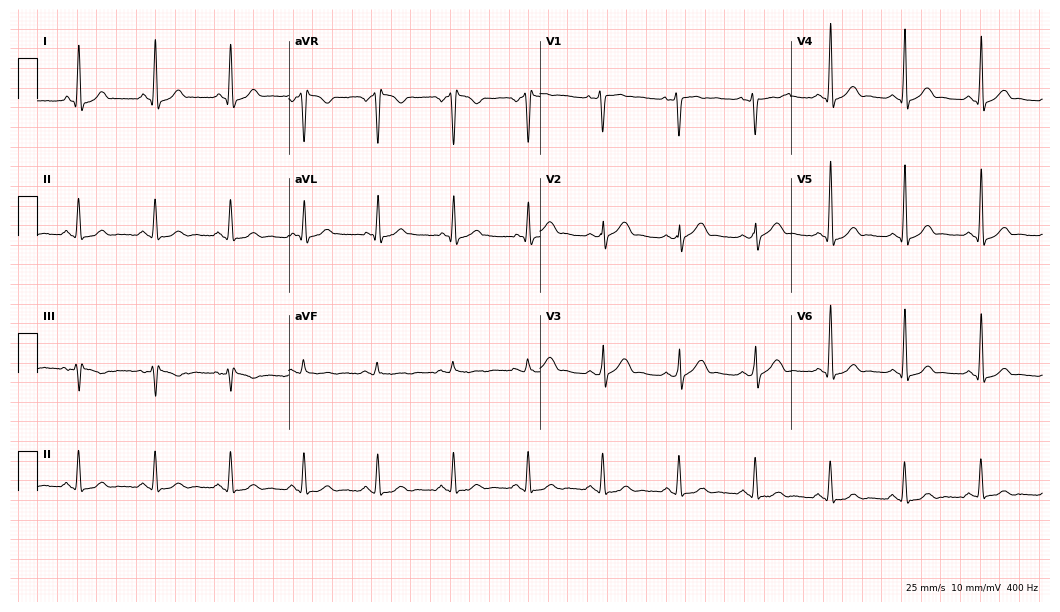
Resting 12-lead electrocardiogram (10.2-second recording at 400 Hz). Patient: a male, 31 years old. None of these six findings is recorded: first-degree AV block, right bundle branch block, left bundle branch block, sinus bradycardia, atrial fibrillation, sinus tachycardia.